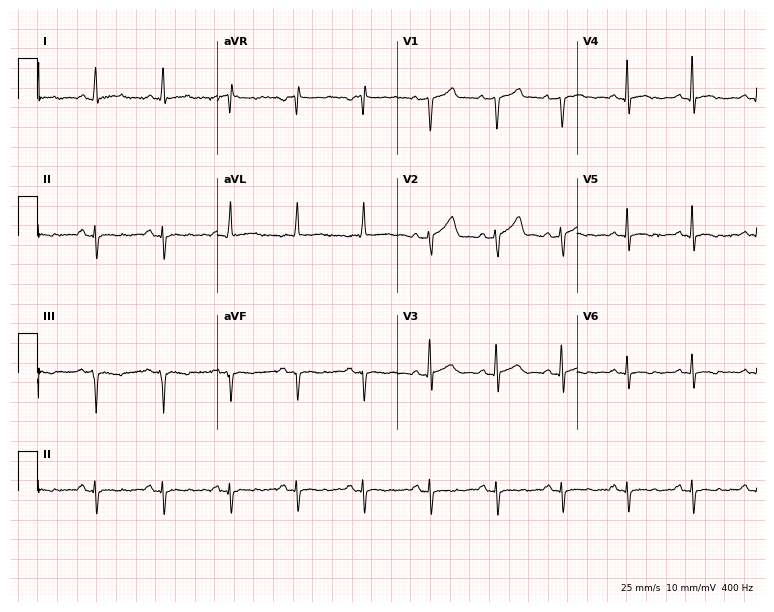
12-lead ECG (7.3-second recording at 400 Hz) from a 44-year-old male. Screened for six findings — first-degree AV block, right bundle branch block, left bundle branch block, sinus bradycardia, atrial fibrillation, sinus tachycardia — none is recorded. Other findings, if any, are not listed.